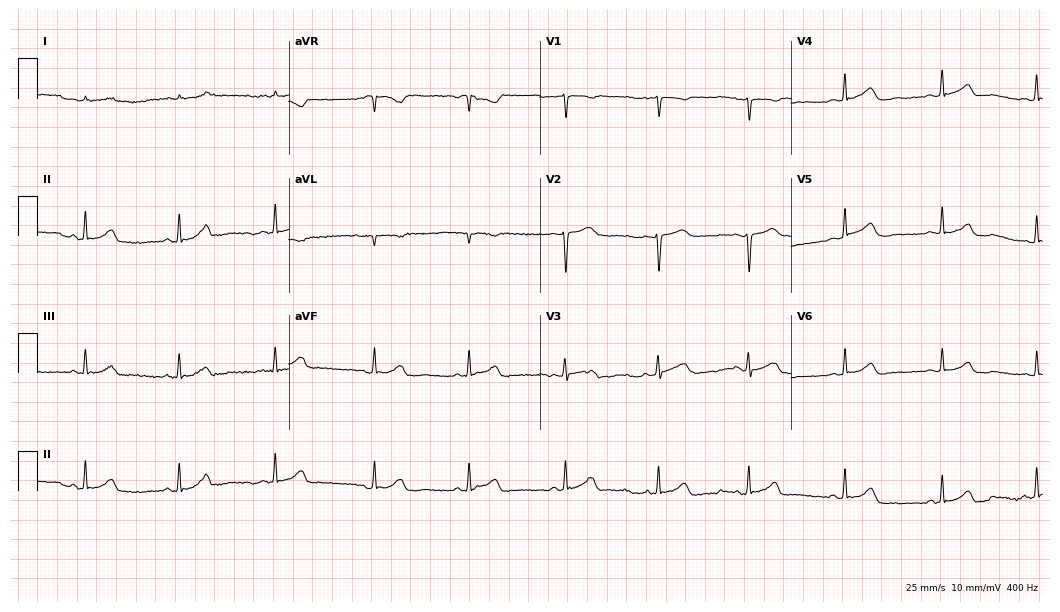
12-lead ECG from a 32-year-old woman. Screened for six findings — first-degree AV block, right bundle branch block (RBBB), left bundle branch block (LBBB), sinus bradycardia, atrial fibrillation (AF), sinus tachycardia — none is recorded.